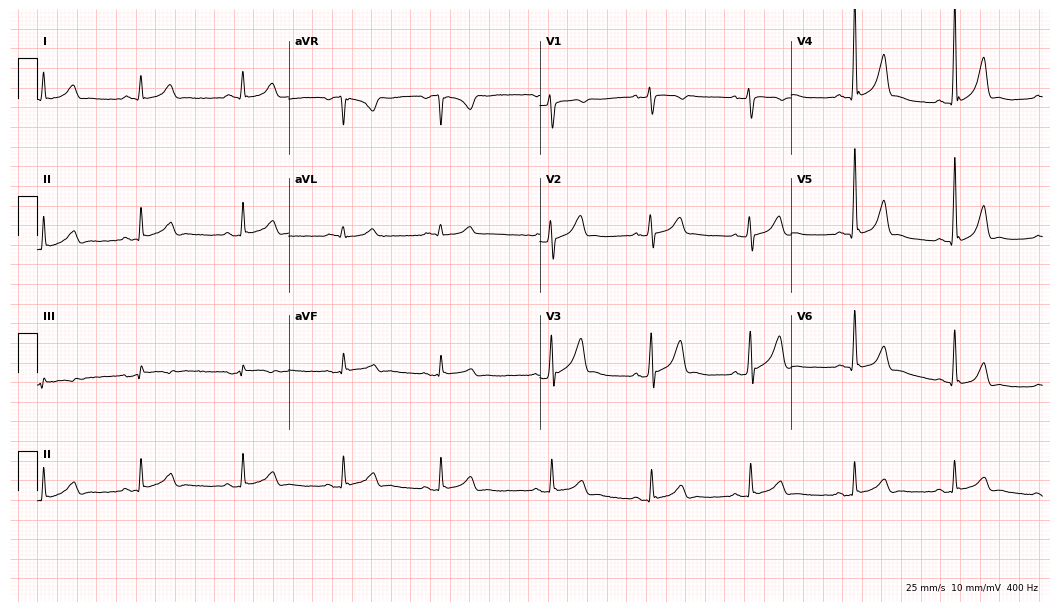
Resting 12-lead electrocardiogram. Patient: a 26-year-old male. Read as a normal ECG.